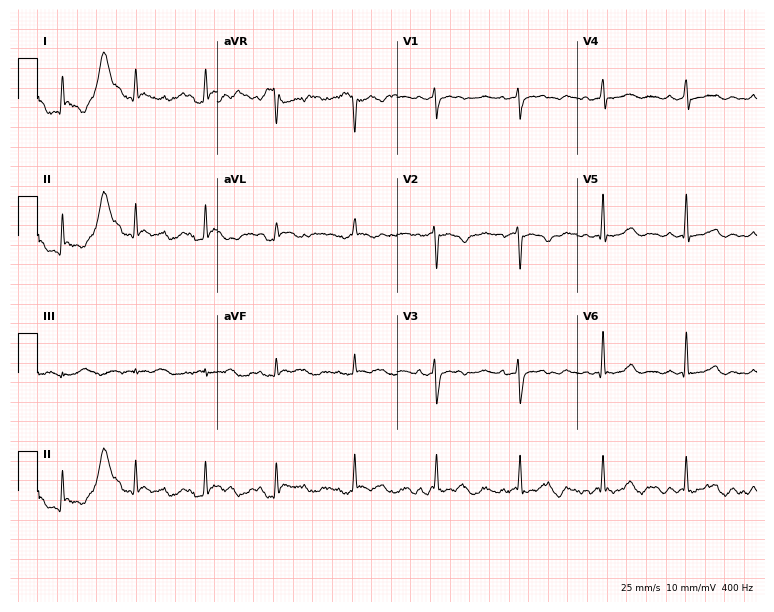
Electrocardiogram (7.3-second recording at 400 Hz), a 39-year-old female patient. Of the six screened findings (first-degree AV block, right bundle branch block, left bundle branch block, sinus bradycardia, atrial fibrillation, sinus tachycardia), none is recorded. Only these six findings were labelled.